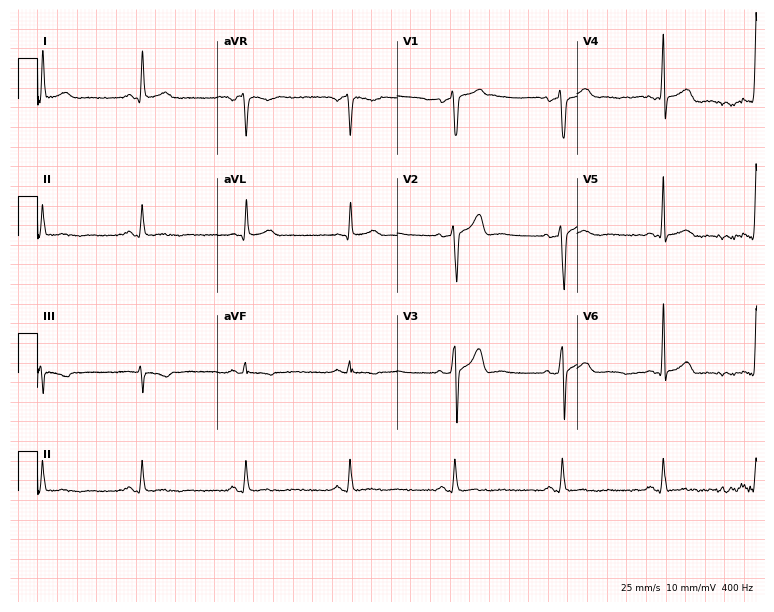
Resting 12-lead electrocardiogram (7.3-second recording at 400 Hz). Patient: a 47-year-old male. Read as a normal ECG.